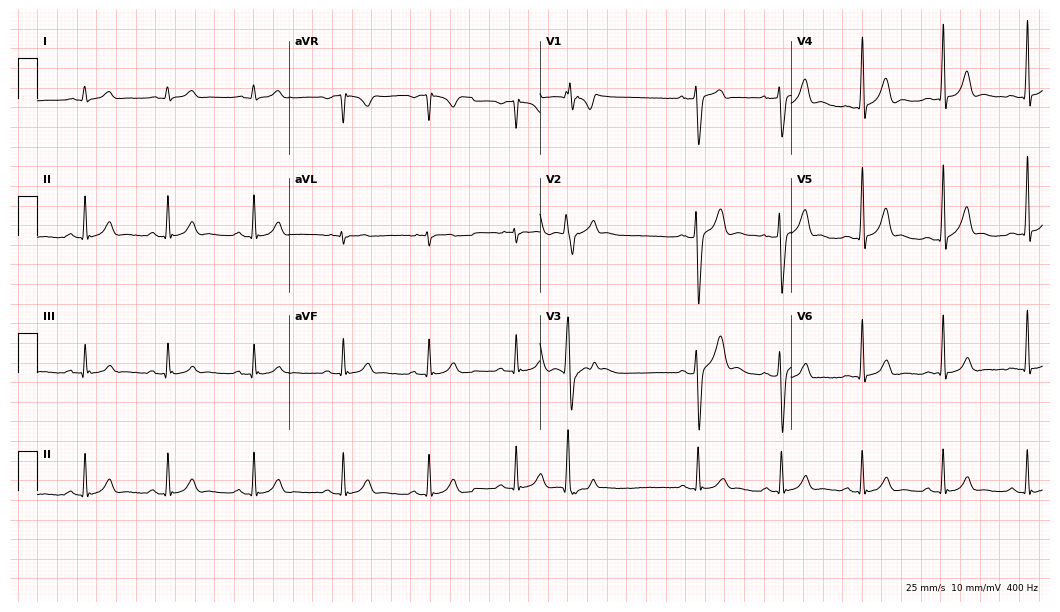
ECG (10.2-second recording at 400 Hz) — a male, 23 years old. Screened for six findings — first-degree AV block, right bundle branch block, left bundle branch block, sinus bradycardia, atrial fibrillation, sinus tachycardia — none is recorded.